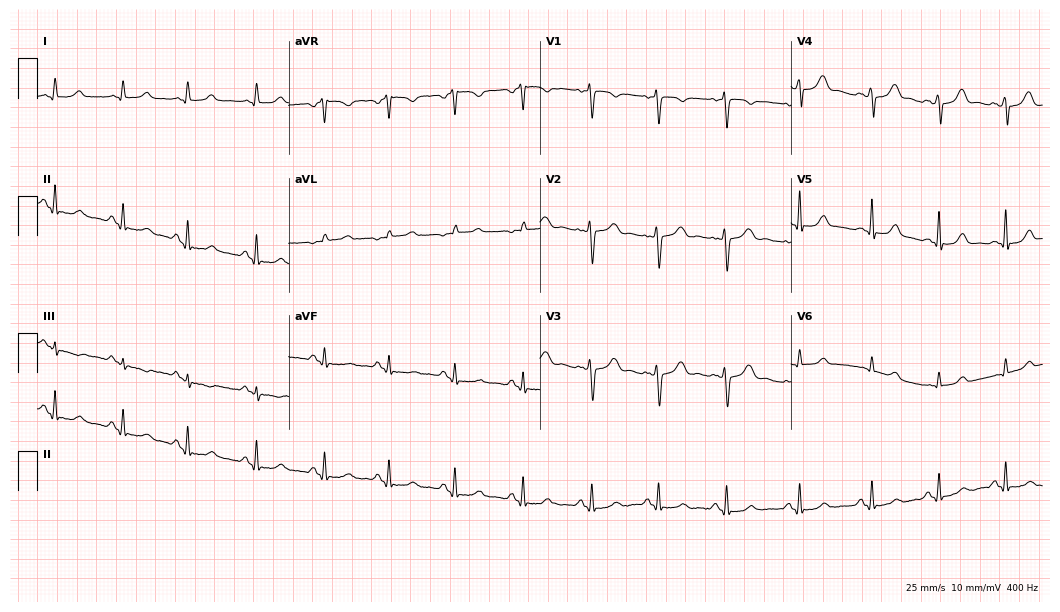
12-lead ECG from a woman, 26 years old. Recorded interpretation: within normal limits.